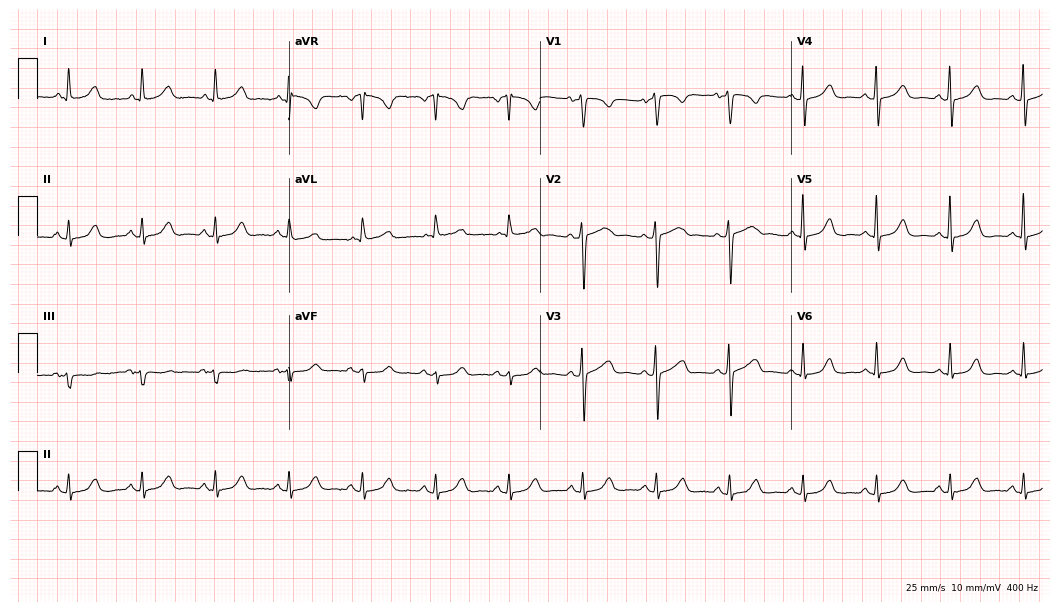
Resting 12-lead electrocardiogram. Patient: a 73-year-old woman. None of these six findings is recorded: first-degree AV block, right bundle branch block, left bundle branch block, sinus bradycardia, atrial fibrillation, sinus tachycardia. Other findings, if any, are not listed.